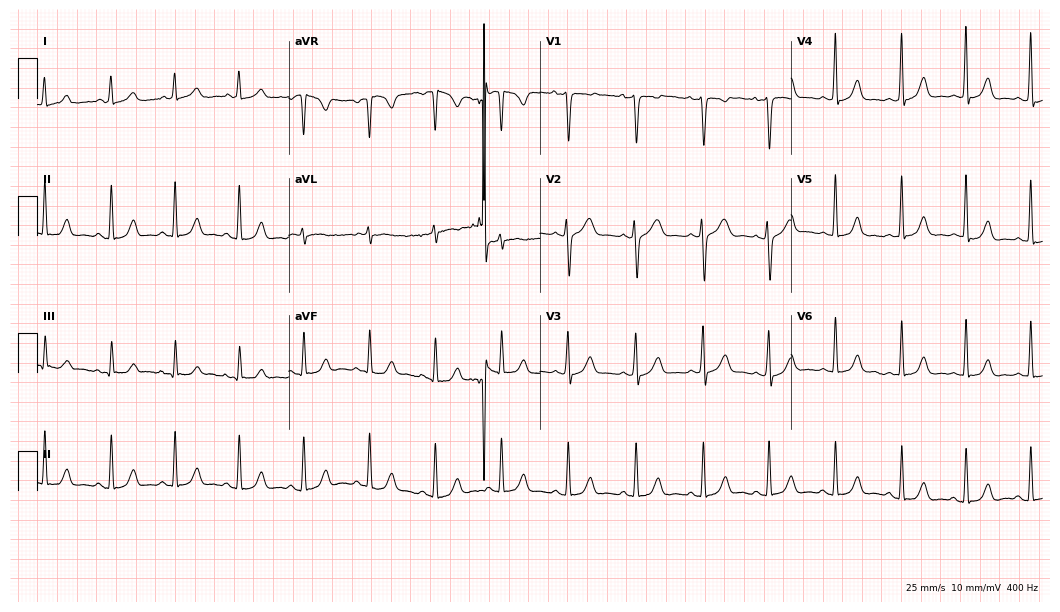
12-lead ECG from a 30-year-old female patient (10.2-second recording at 400 Hz). Recorded interpretation: within normal limits.